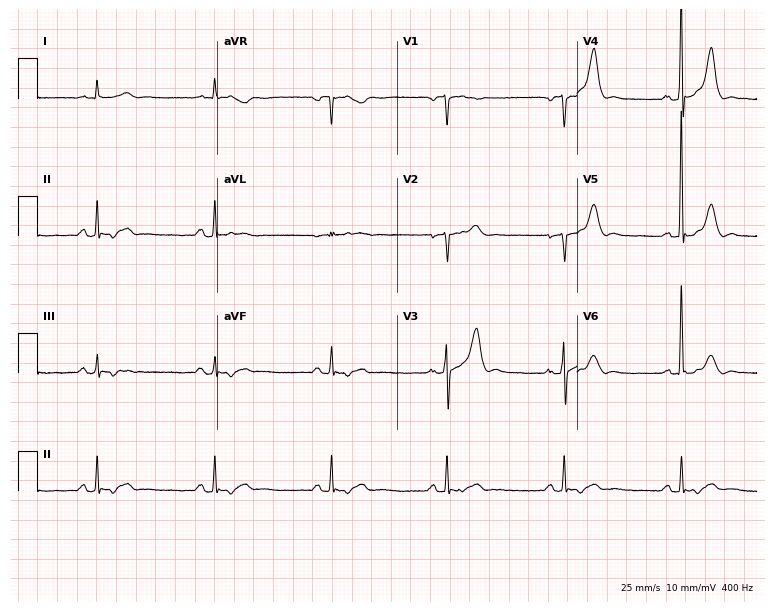
Standard 12-lead ECG recorded from a male, 76 years old. Read as a normal ECG.